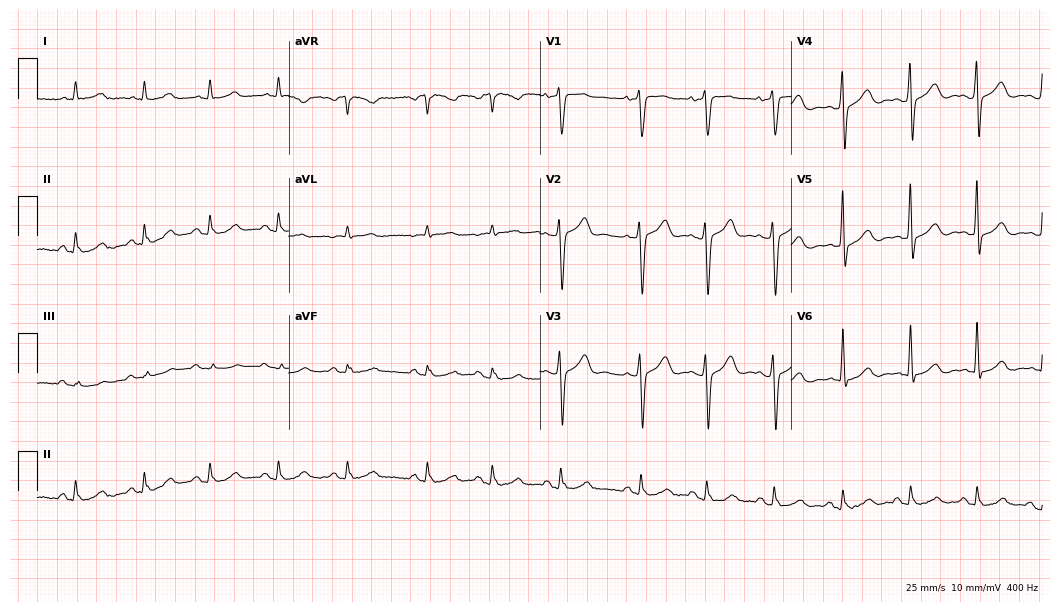
12-lead ECG (10.2-second recording at 400 Hz) from a male patient, 72 years old. Labelled as a normal ECG.